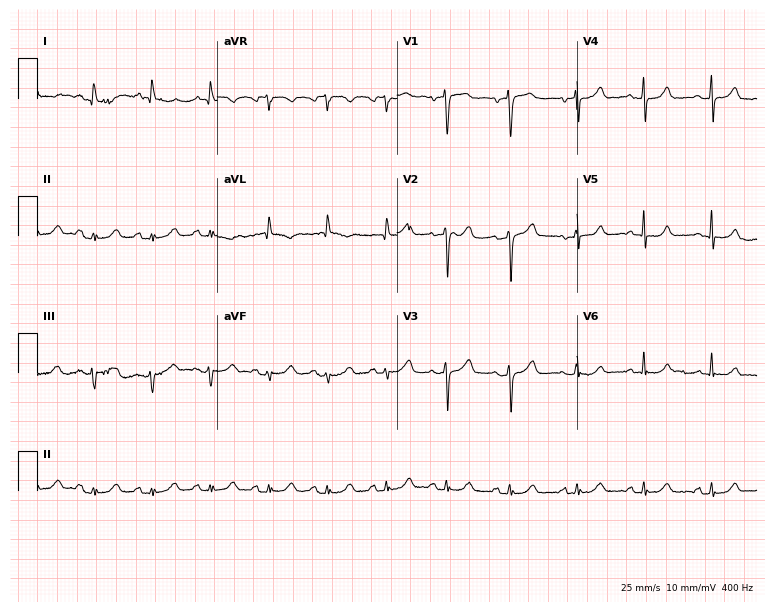
Electrocardiogram, a woman, 58 years old. Overall reading on record: normal ECG.